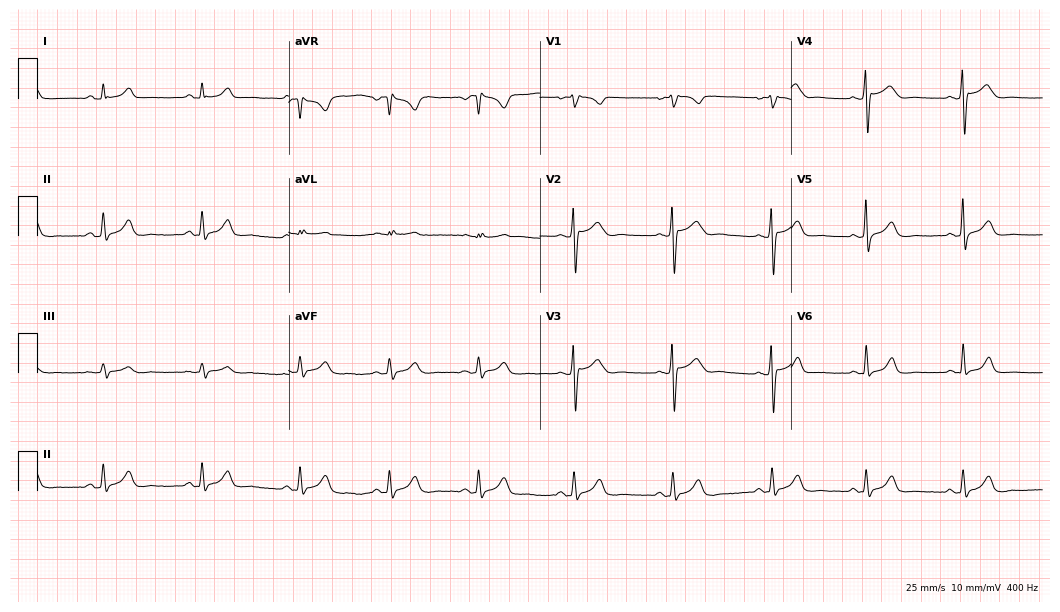
Standard 12-lead ECG recorded from a female, 34 years old. Read as a normal ECG.